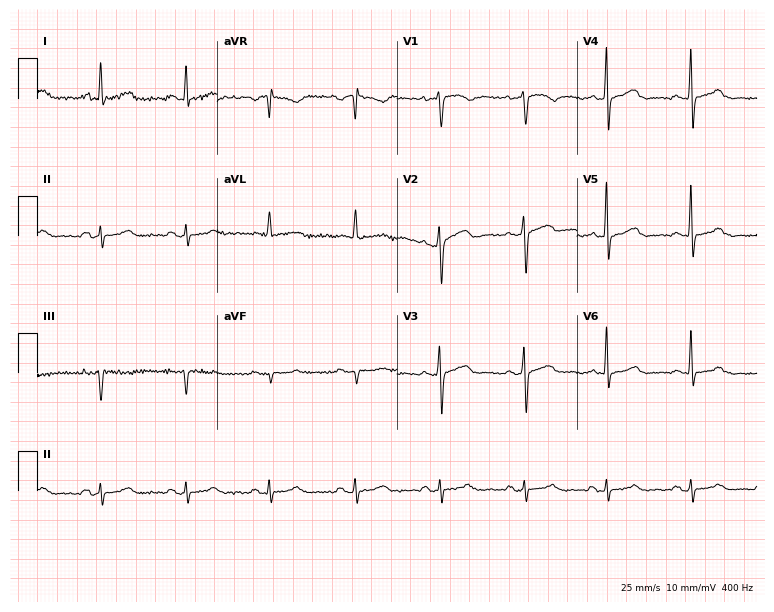
ECG (7.3-second recording at 400 Hz) — a 74-year-old woman. Screened for six findings — first-degree AV block, right bundle branch block (RBBB), left bundle branch block (LBBB), sinus bradycardia, atrial fibrillation (AF), sinus tachycardia — none is recorded.